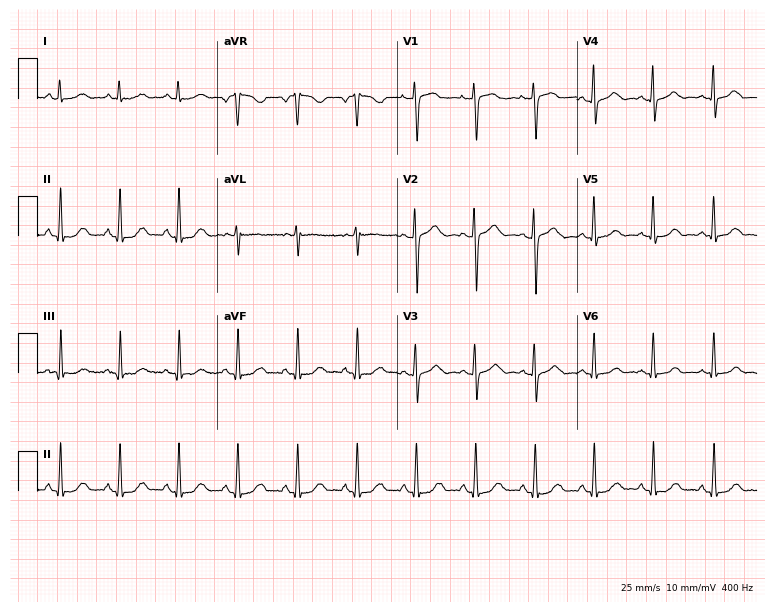
ECG — a female patient, 35 years old. Labelled as a normal ECG.